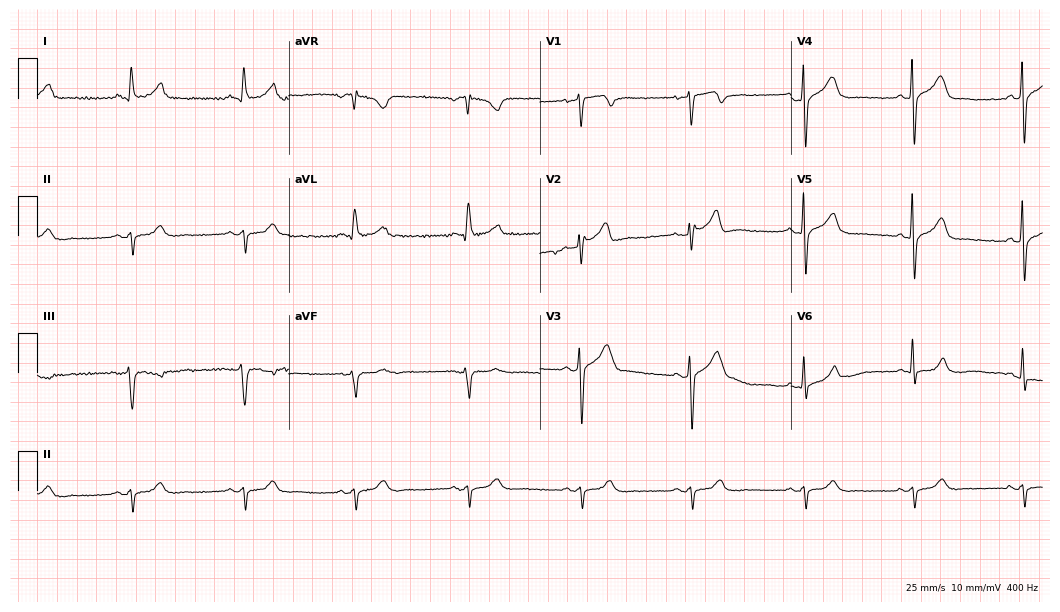
12-lead ECG from a male patient, 60 years old. No first-degree AV block, right bundle branch block (RBBB), left bundle branch block (LBBB), sinus bradycardia, atrial fibrillation (AF) or sinus tachycardia recorded for this tracing.